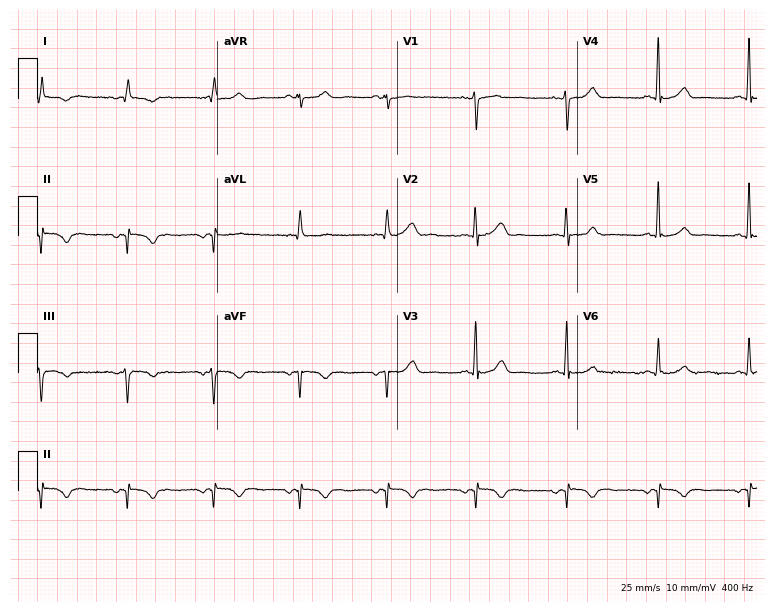
Resting 12-lead electrocardiogram (7.3-second recording at 400 Hz). Patient: a 52-year-old female. None of these six findings is recorded: first-degree AV block, right bundle branch block, left bundle branch block, sinus bradycardia, atrial fibrillation, sinus tachycardia. Only these six findings were labelled.